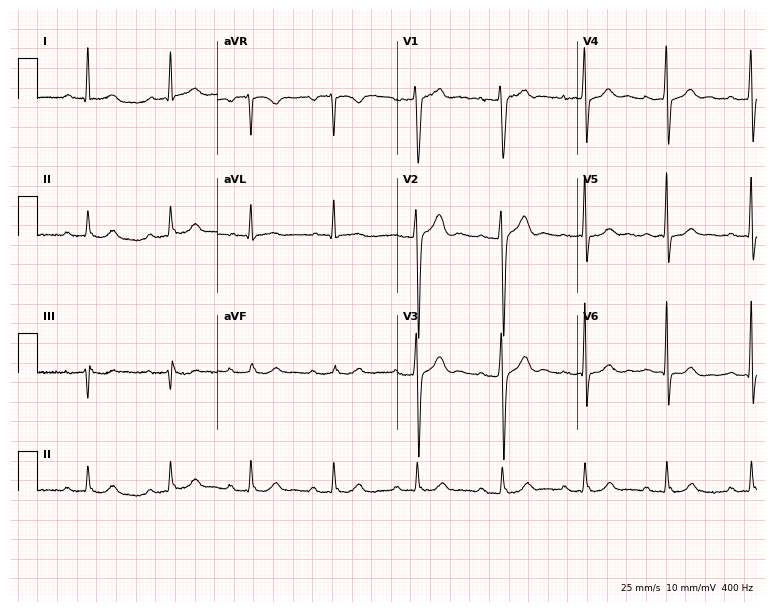
12-lead ECG from a man, 29 years old (7.3-second recording at 400 Hz). Shows first-degree AV block.